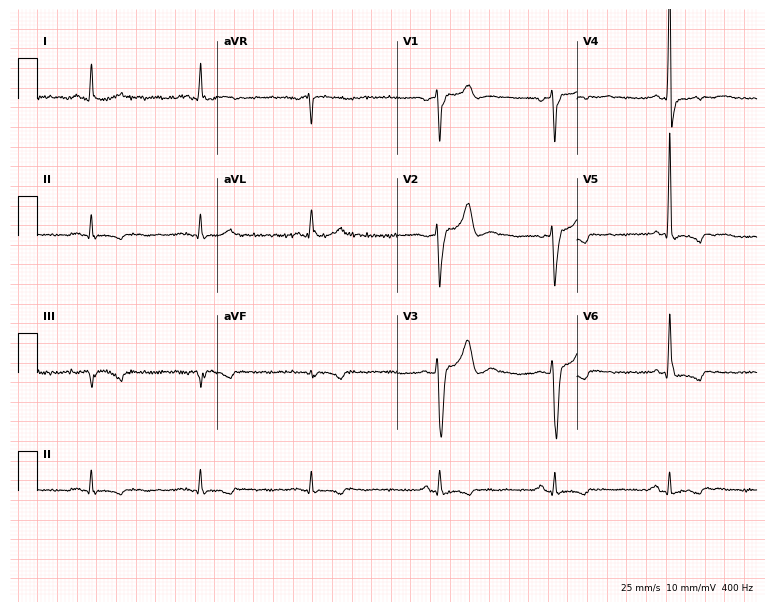
ECG — a man, 66 years old. Screened for six findings — first-degree AV block, right bundle branch block (RBBB), left bundle branch block (LBBB), sinus bradycardia, atrial fibrillation (AF), sinus tachycardia — none is recorded. Only these six findings were labelled.